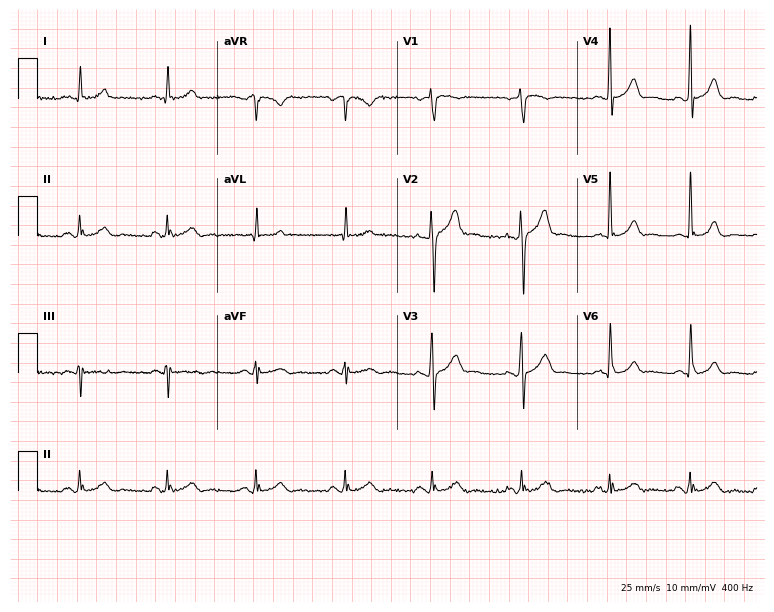
12-lead ECG from a 47-year-old male (7.3-second recording at 400 Hz). No first-degree AV block, right bundle branch block, left bundle branch block, sinus bradycardia, atrial fibrillation or sinus tachycardia recorded for this tracing. Other findings, if any, are not listed.